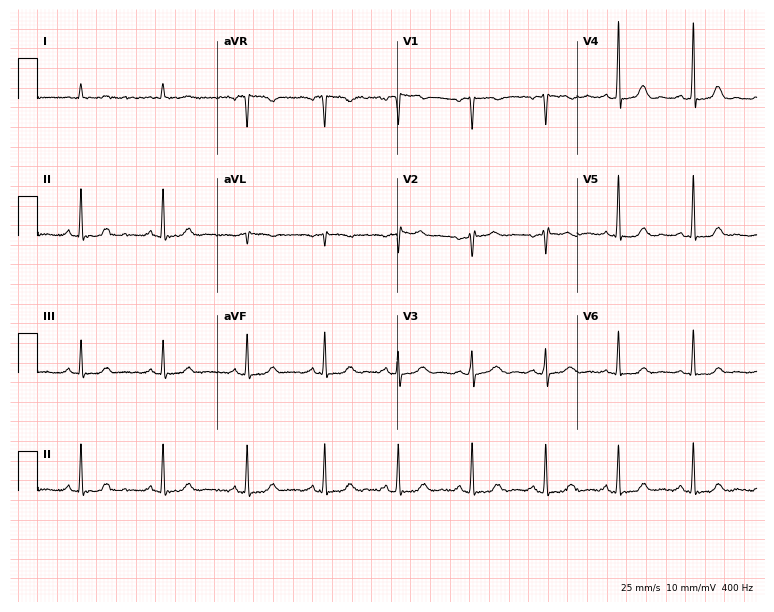
12-lead ECG from a female, 26 years old (7.3-second recording at 400 Hz). No first-degree AV block, right bundle branch block (RBBB), left bundle branch block (LBBB), sinus bradycardia, atrial fibrillation (AF) or sinus tachycardia recorded for this tracing. Other findings, if any, are not listed.